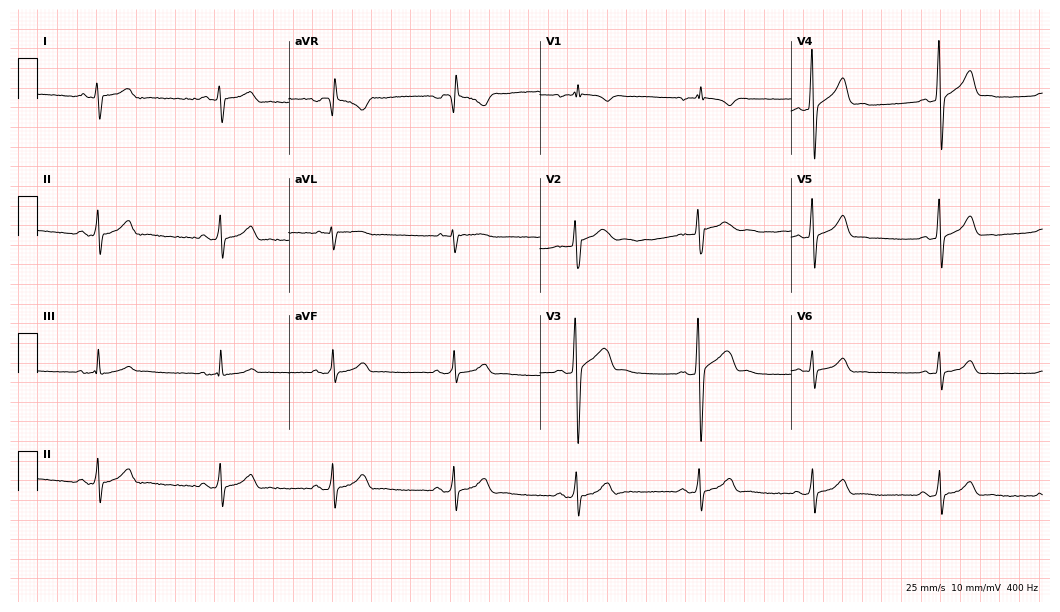
Electrocardiogram, a man, 23 years old. Of the six screened findings (first-degree AV block, right bundle branch block, left bundle branch block, sinus bradycardia, atrial fibrillation, sinus tachycardia), none is recorded.